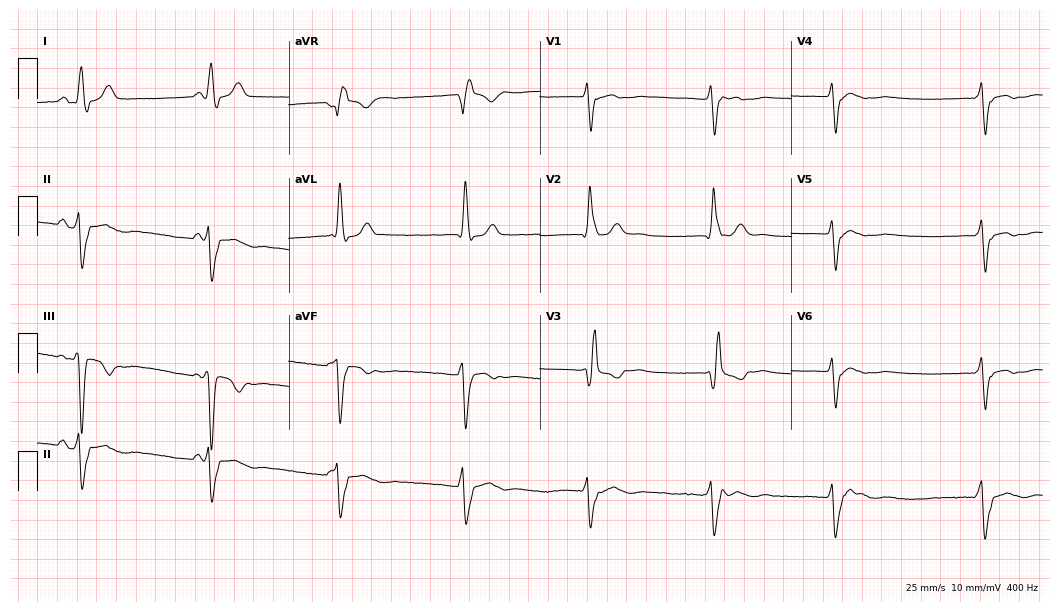
Standard 12-lead ECG recorded from a female patient, 73 years old. None of these six findings is recorded: first-degree AV block, right bundle branch block (RBBB), left bundle branch block (LBBB), sinus bradycardia, atrial fibrillation (AF), sinus tachycardia. Findings outside these six are not listed.